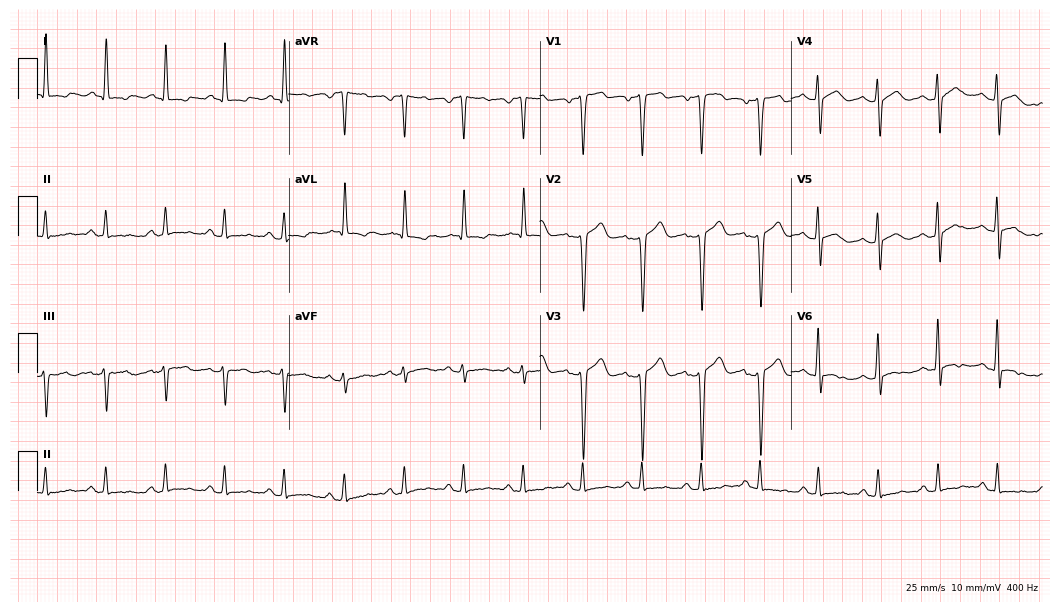
Standard 12-lead ECG recorded from a 51-year-old female (10.2-second recording at 400 Hz). None of these six findings is recorded: first-degree AV block, right bundle branch block, left bundle branch block, sinus bradycardia, atrial fibrillation, sinus tachycardia. Only these six findings were labelled.